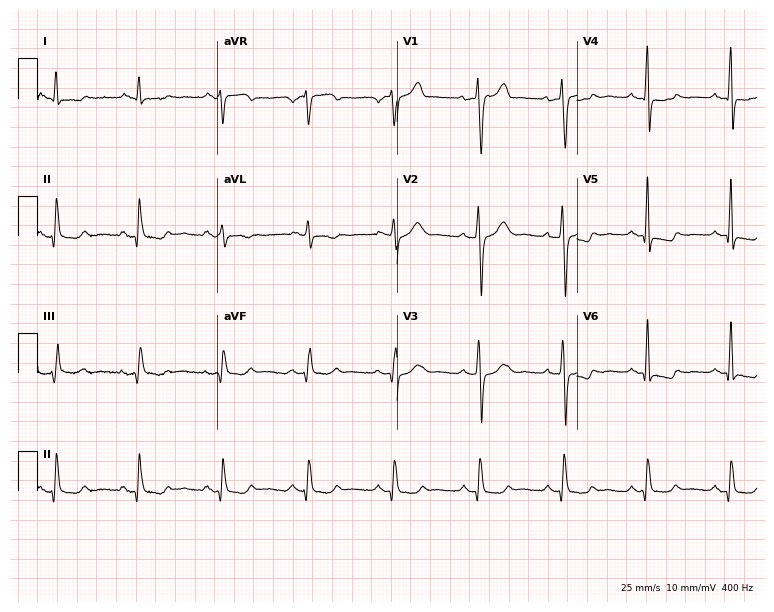
Standard 12-lead ECG recorded from a male patient, 54 years old. None of these six findings is recorded: first-degree AV block, right bundle branch block (RBBB), left bundle branch block (LBBB), sinus bradycardia, atrial fibrillation (AF), sinus tachycardia.